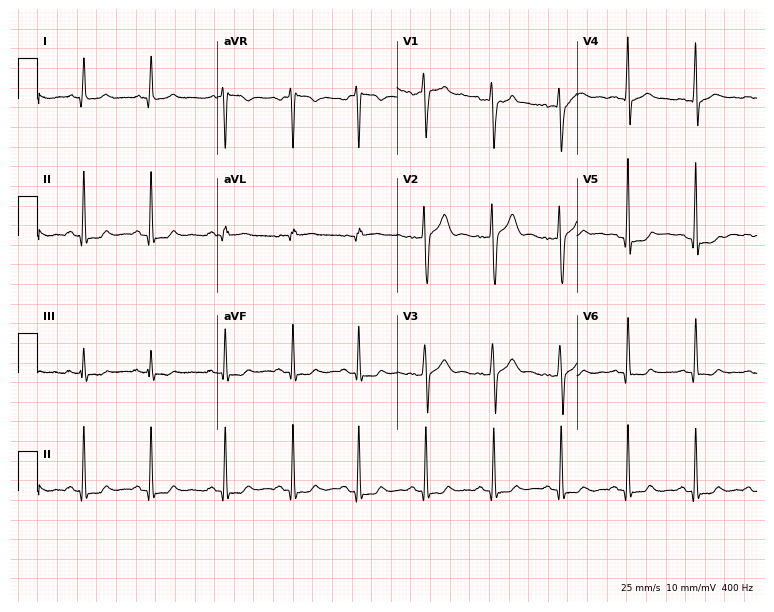
12-lead ECG from a man, 24 years old. No first-degree AV block, right bundle branch block (RBBB), left bundle branch block (LBBB), sinus bradycardia, atrial fibrillation (AF) or sinus tachycardia recorded for this tracing. Other findings, if any, are not listed.